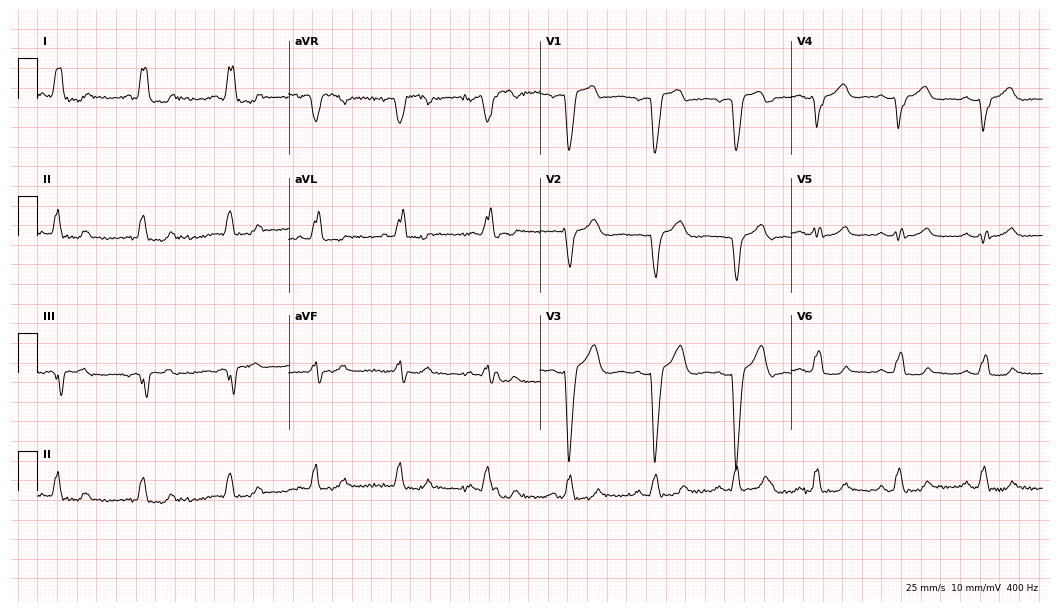
Resting 12-lead electrocardiogram (10.2-second recording at 400 Hz). Patient: a female, 47 years old. The tracing shows left bundle branch block.